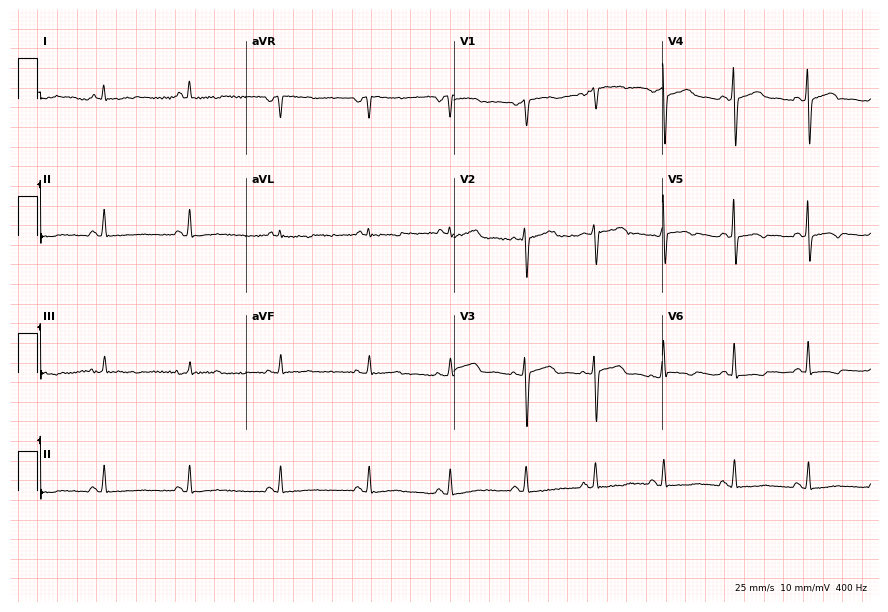
Resting 12-lead electrocardiogram (8.5-second recording at 400 Hz). Patient: a 43-year-old female. Read as a normal ECG.